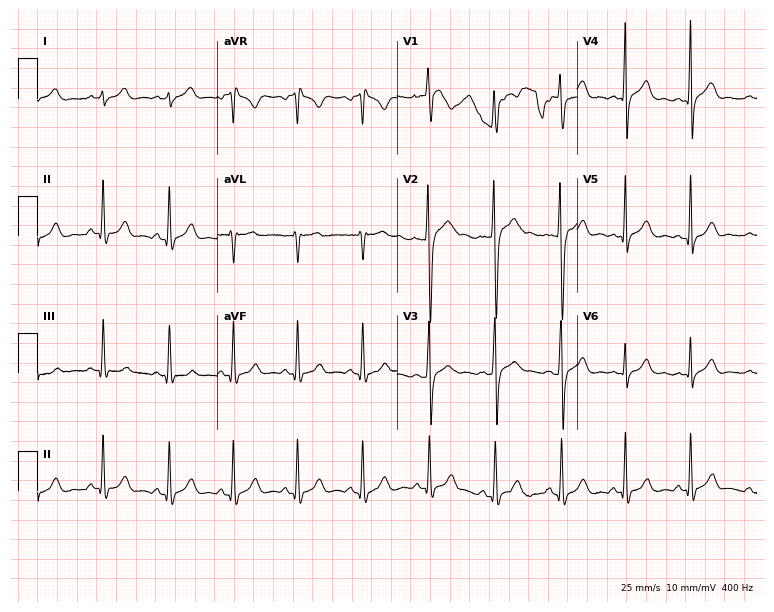
Resting 12-lead electrocardiogram. Patient: a 20-year-old man. Read as a normal ECG.